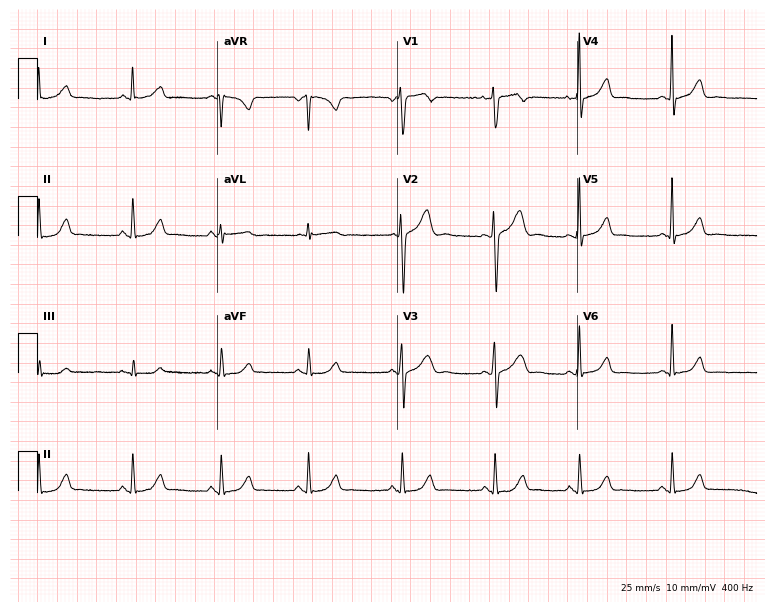
Electrocardiogram, a 26-year-old female patient. Overall reading on record: normal ECG.